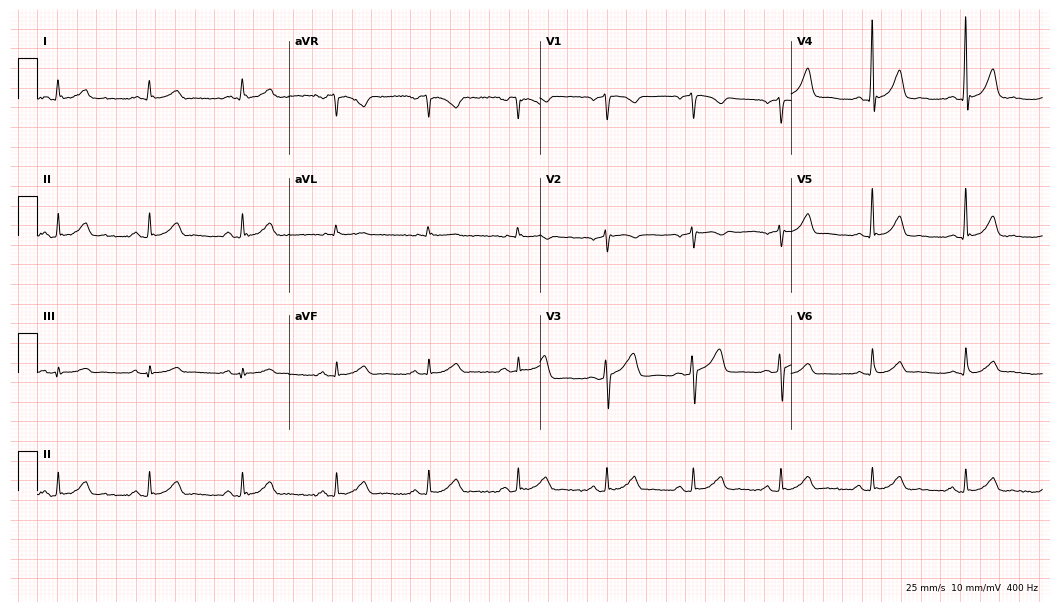
12-lead ECG (10.2-second recording at 400 Hz) from a male patient, 56 years old. Labelled as a normal ECG.